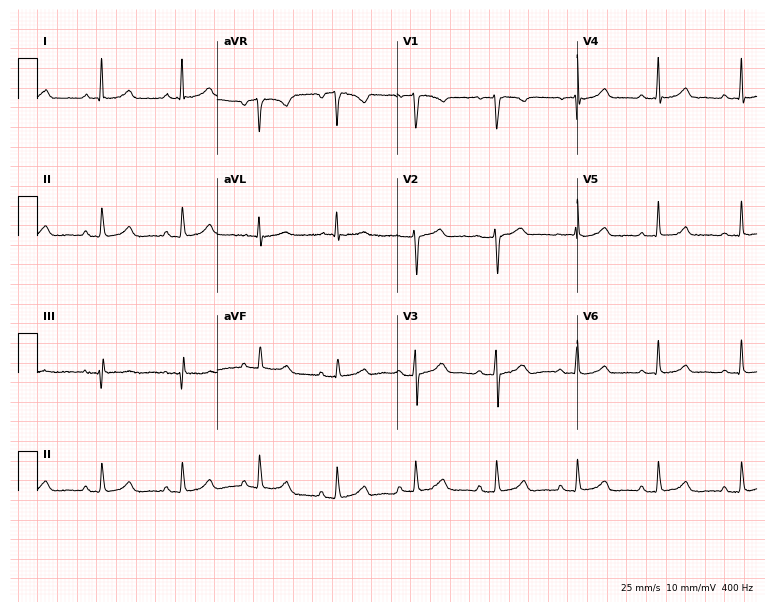
12-lead ECG from a 63-year-old woman. Labelled as a normal ECG.